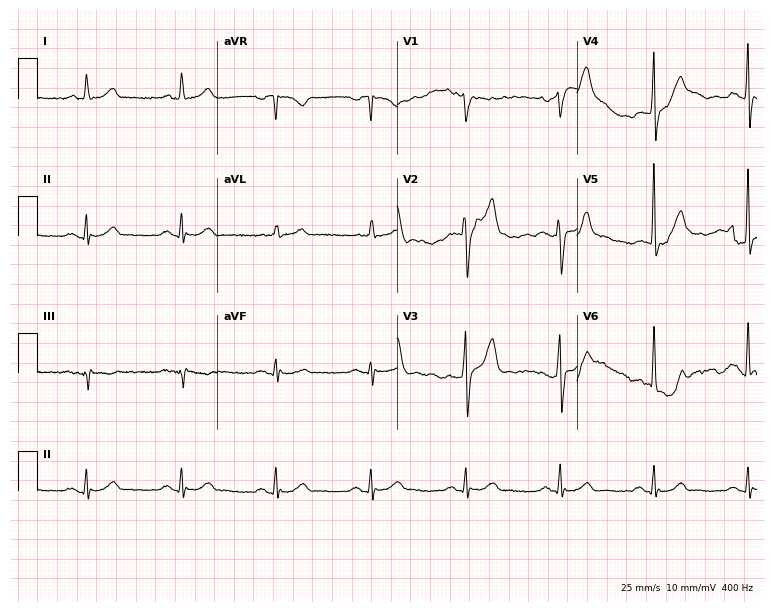
Standard 12-lead ECG recorded from a 65-year-old man. Read as a normal ECG.